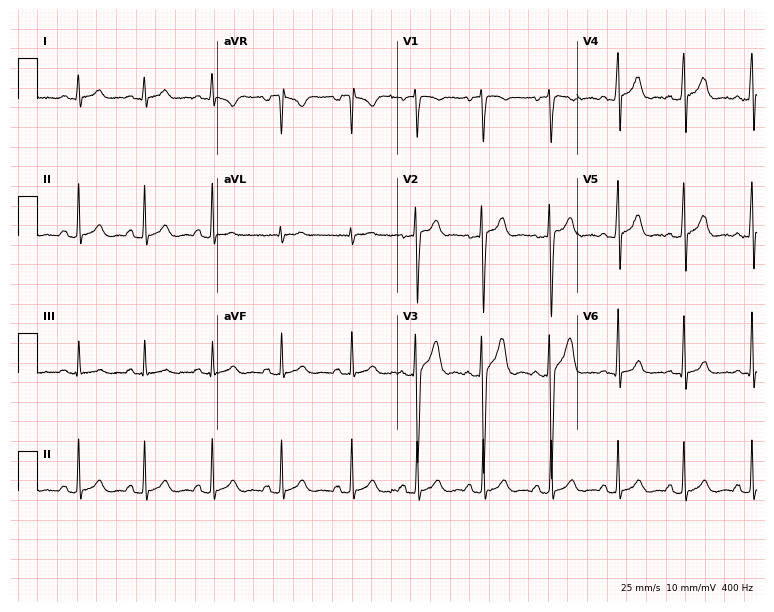
Resting 12-lead electrocardiogram (7.3-second recording at 400 Hz). Patient: a 20-year-old male. Read as a normal ECG.